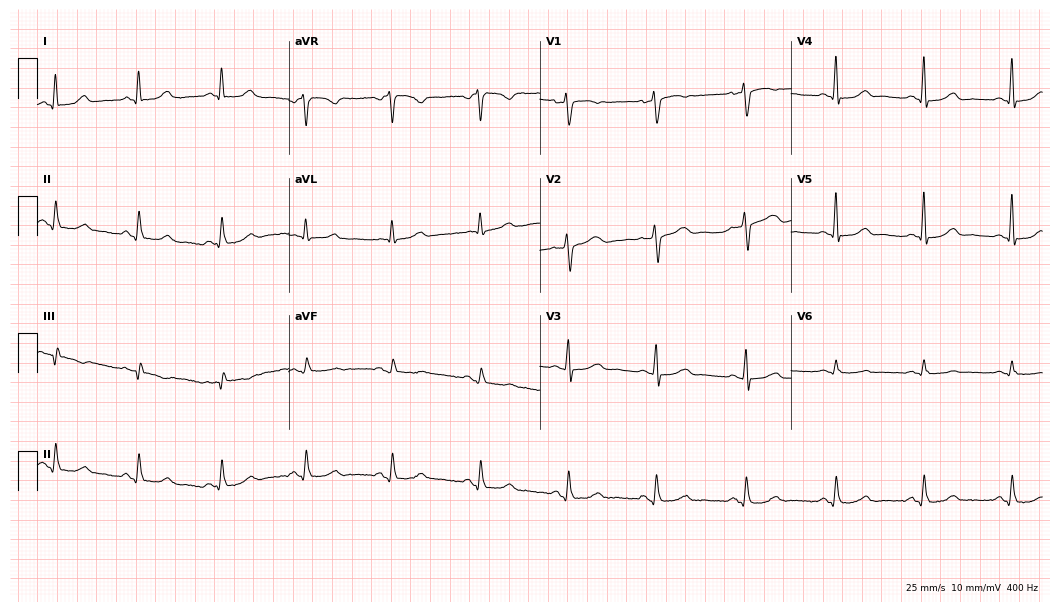
Standard 12-lead ECG recorded from a woman, 63 years old (10.2-second recording at 400 Hz). None of these six findings is recorded: first-degree AV block, right bundle branch block, left bundle branch block, sinus bradycardia, atrial fibrillation, sinus tachycardia. Findings outside these six are not listed.